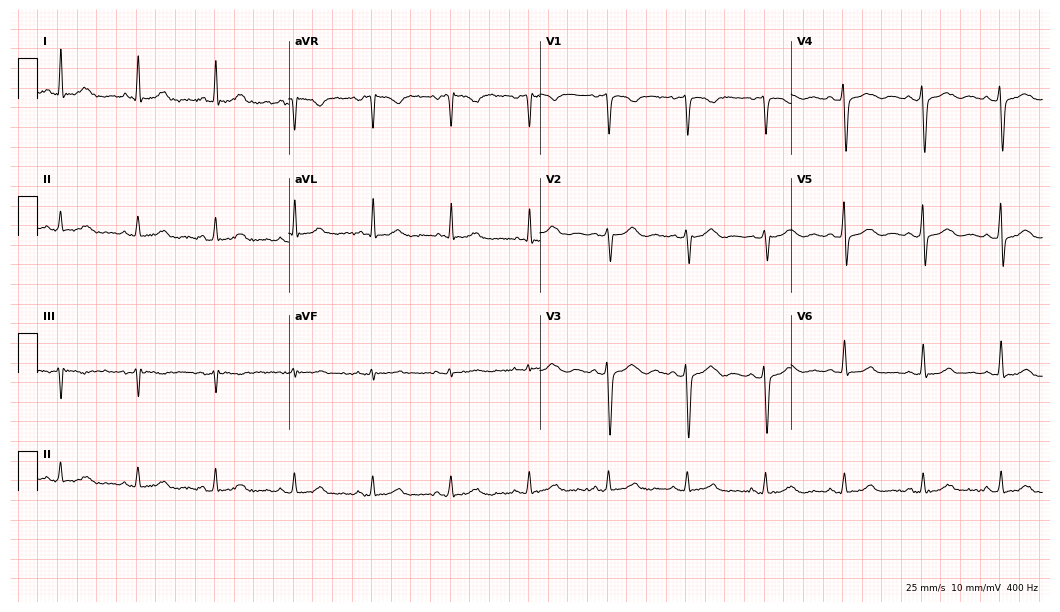
ECG — a 62-year-old man. Labelled as a normal ECG.